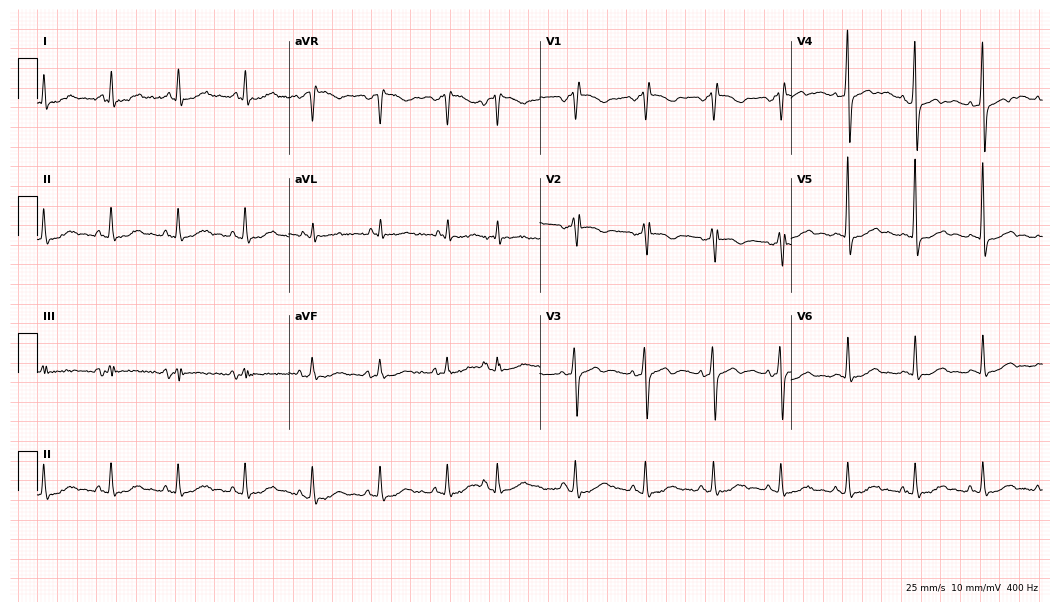
Electrocardiogram (10.2-second recording at 400 Hz), an 80-year-old female patient. Of the six screened findings (first-degree AV block, right bundle branch block, left bundle branch block, sinus bradycardia, atrial fibrillation, sinus tachycardia), none is recorded.